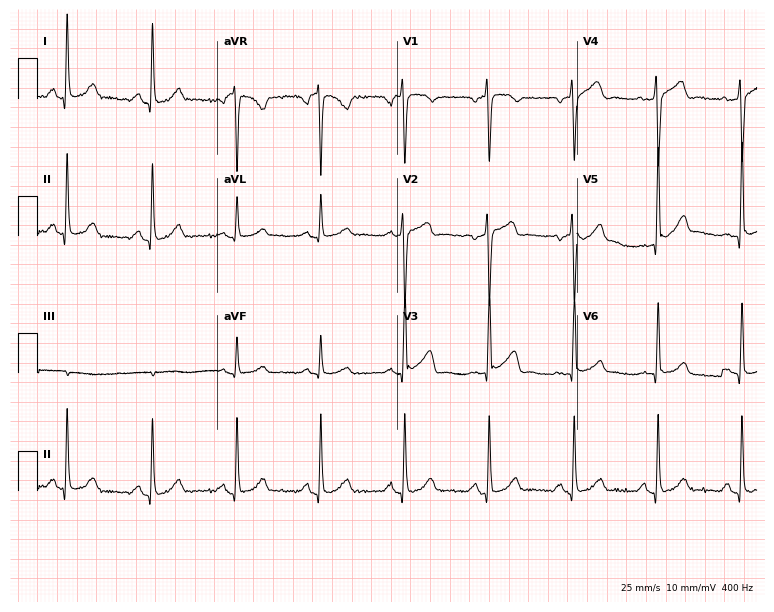
Electrocardiogram (7.3-second recording at 400 Hz), a male, 60 years old. Overall reading on record: normal ECG.